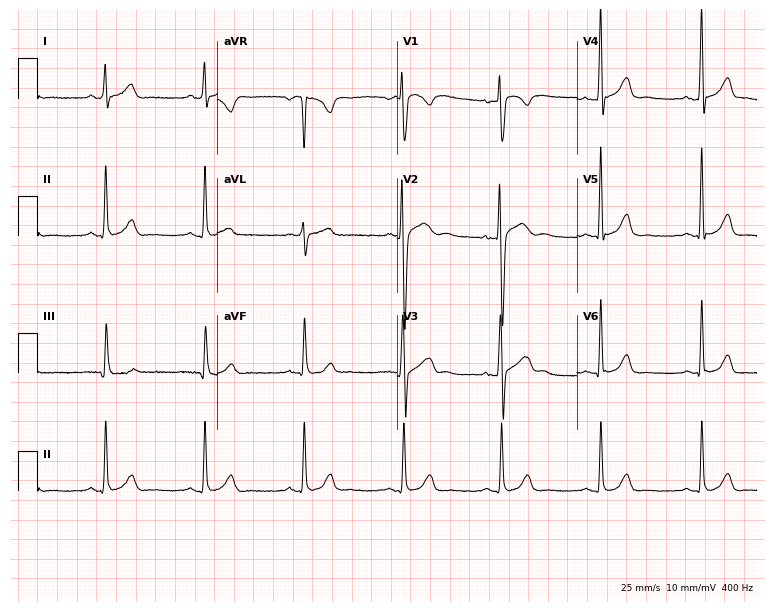
ECG — a 33-year-old male. Screened for six findings — first-degree AV block, right bundle branch block, left bundle branch block, sinus bradycardia, atrial fibrillation, sinus tachycardia — none is recorded. Other findings, if any, are not listed.